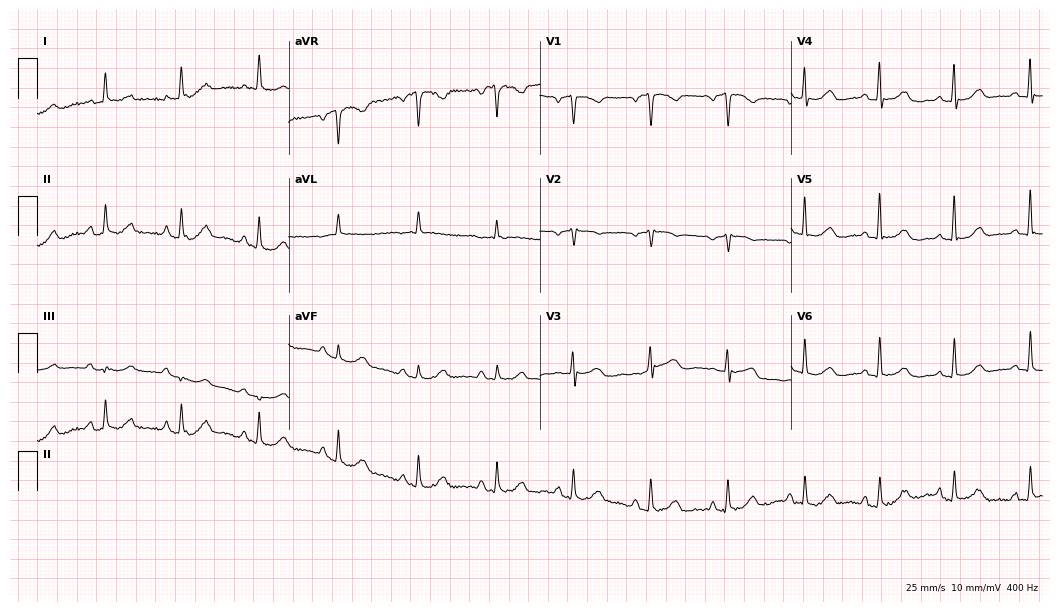
Standard 12-lead ECG recorded from a 72-year-old female (10.2-second recording at 400 Hz). Read as a normal ECG.